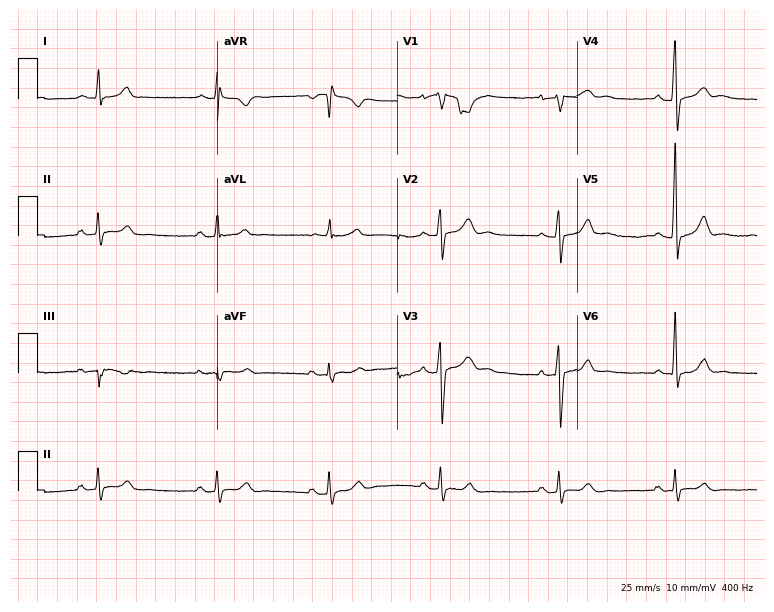
Standard 12-lead ECG recorded from a 46-year-old male patient (7.3-second recording at 400 Hz). Read as a normal ECG.